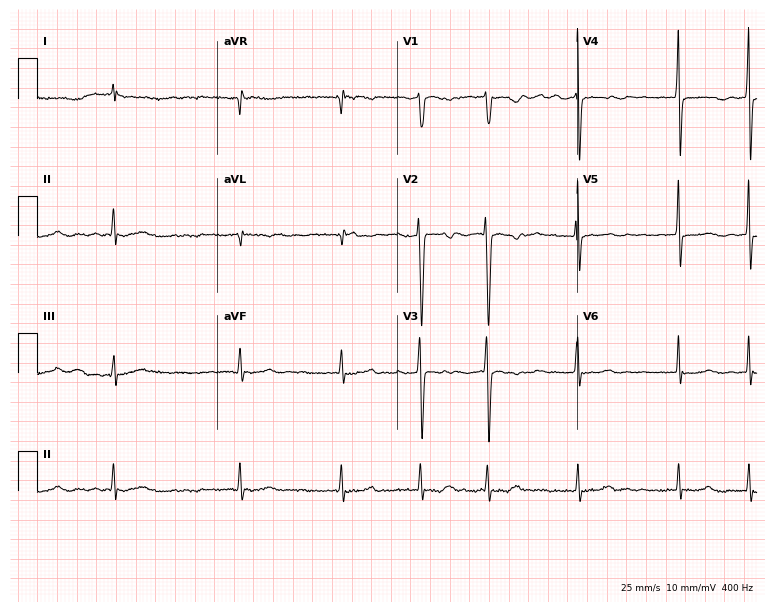
Electrocardiogram (7.3-second recording at 400 Hz), a 49-year-old female. Interpretation includes atrial fibrillation.